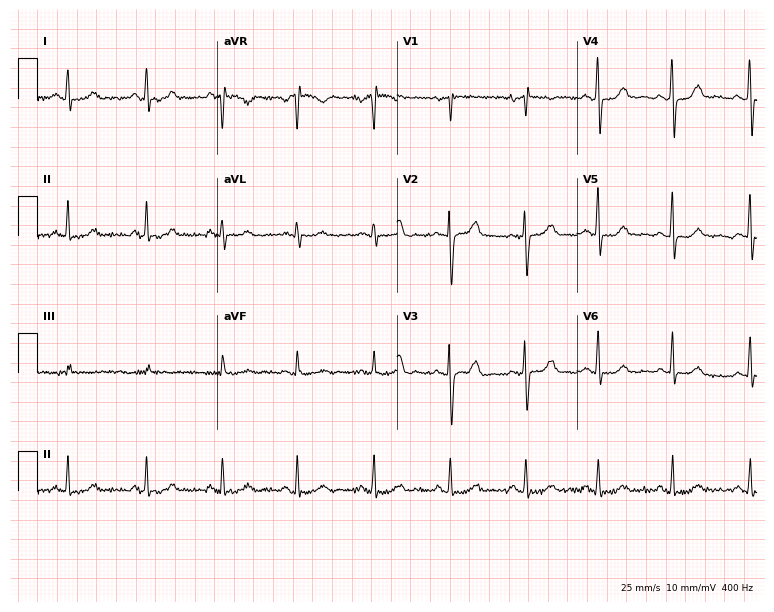
Standard 12-lead ECG recorded from a 46-year-old female patient (7.3-second recording at 400 Hz). Read as a normal ECG.